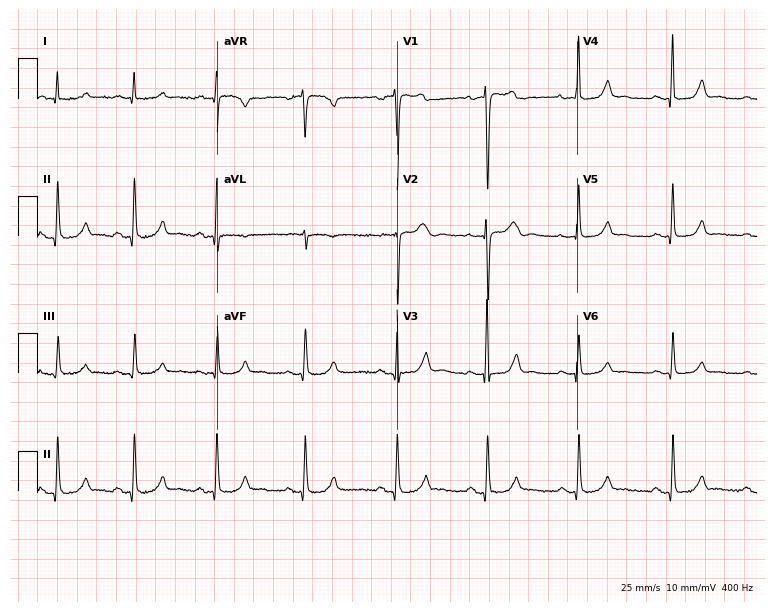
12-lead ECG from a 75-year-old female patient. Recorded interpretation: within normal limits.